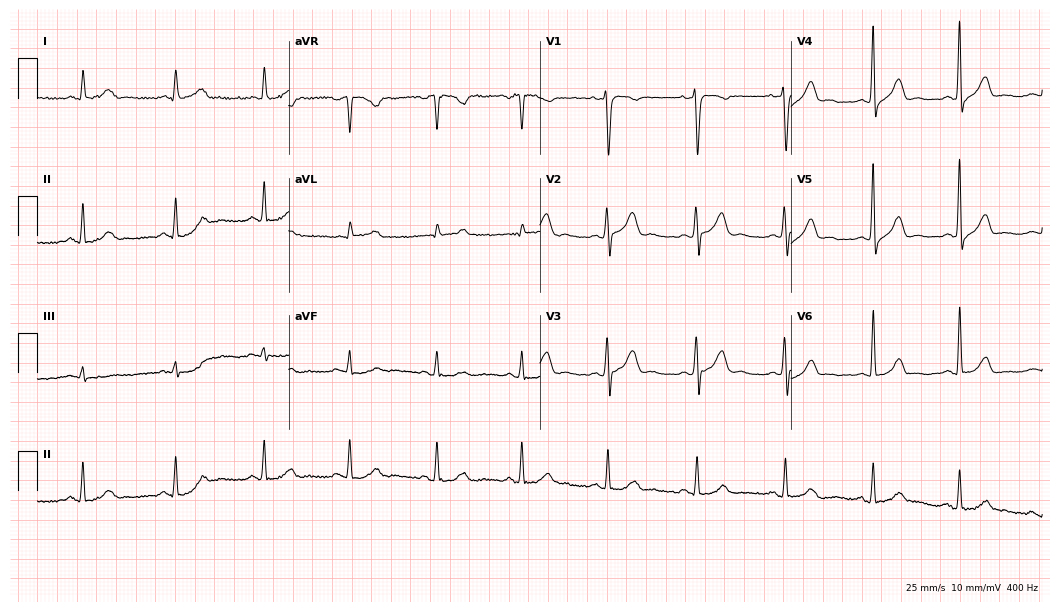
ECG — a male patient, 49 years old. Labelled as a normal ECG.